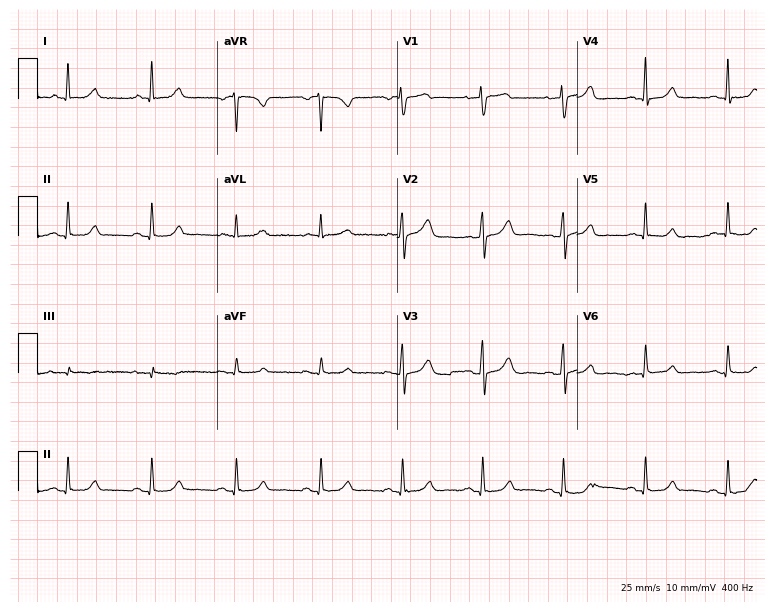
ECG — a female, 47 years old. Labelled as a normal ECG.